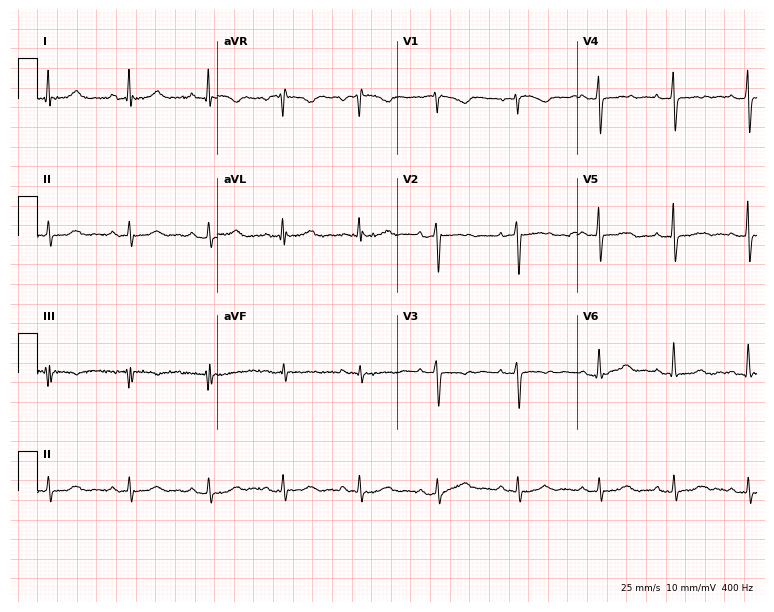
Standard 12-lead ECG recorded from a 49-year-old woman. Read as a normal ECG.